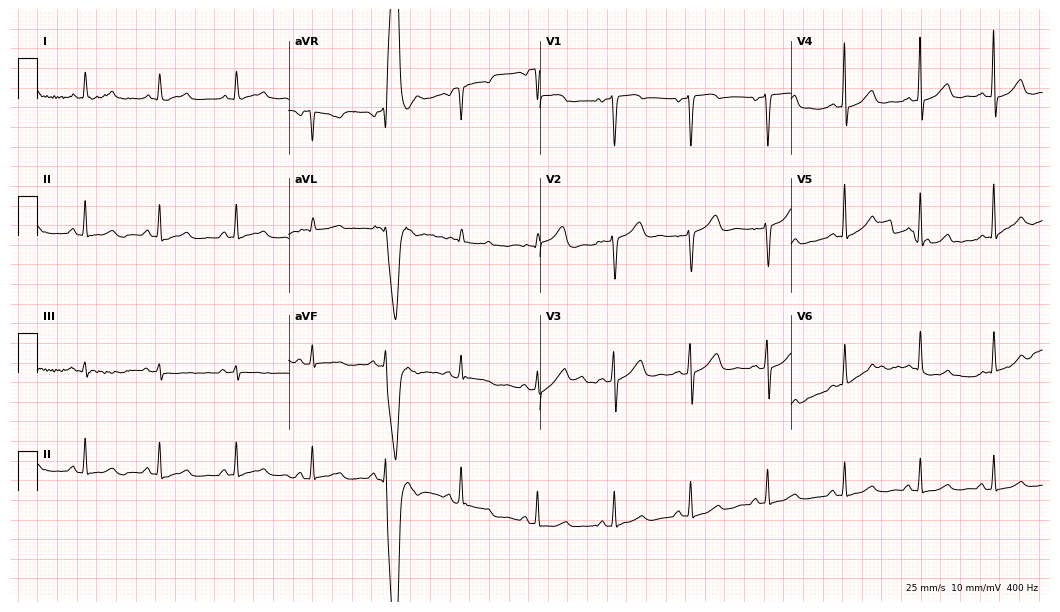
Standard 12-lead ECG recorded from a female patient, 41 years old (10.2-second recording at 400 Hz). Read as a normal ECG.